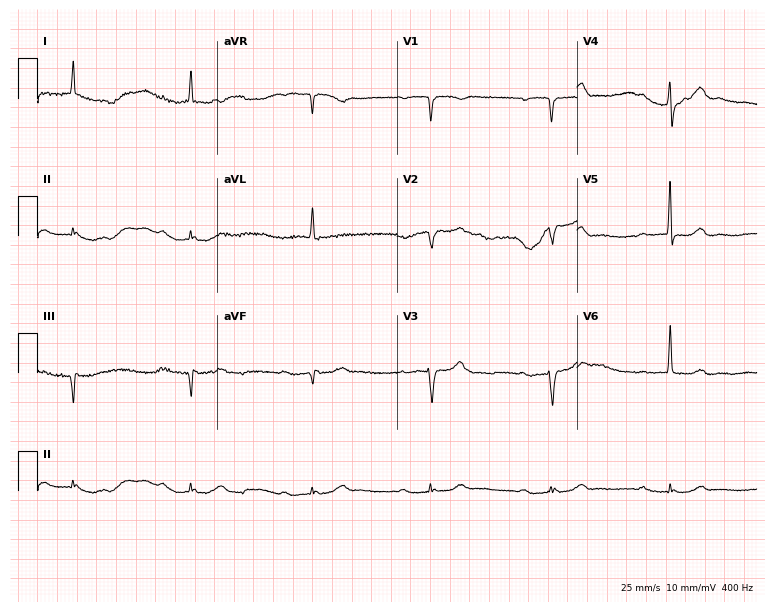
Electrocardiogram (7.3-second recording at 400 Hz), a 79-year-old male patient. Interpretation includes first-degree AV block, sinus bradycardia (a sinus rate of 50 beats per minute or less).